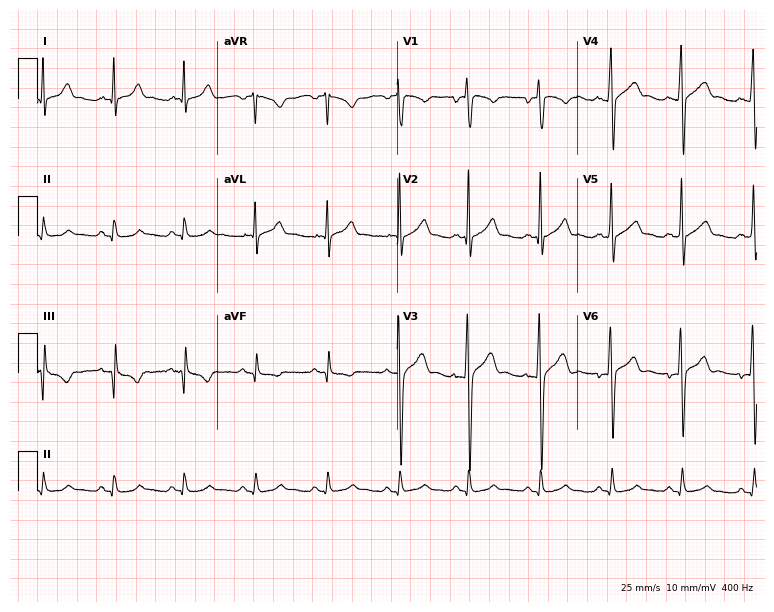
ECG (7.3-second recording at 400 Hz) — a 20-year-old man. Labelled as a normal ECG.